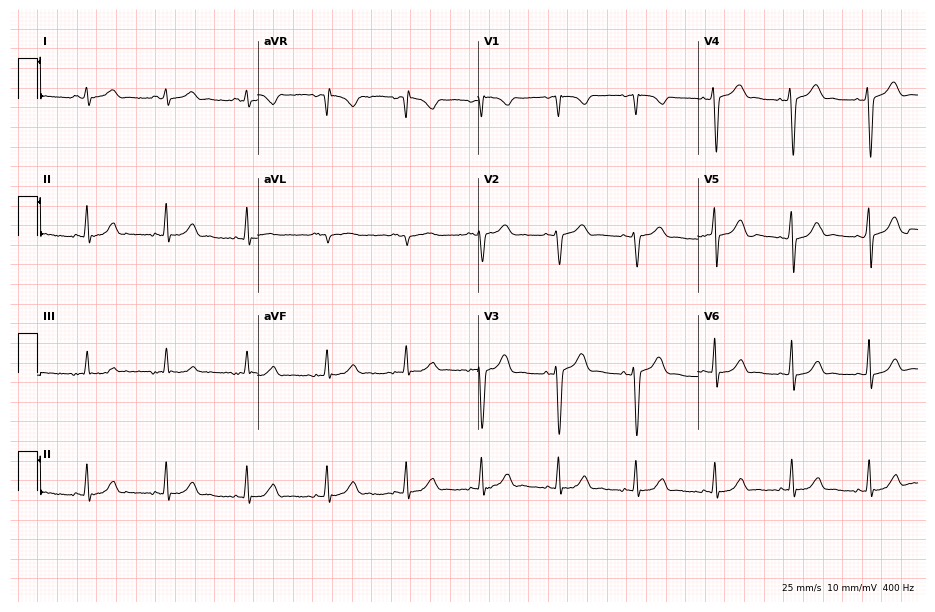
Electrocardiogram, a female patient, 37 years old. Overall reading on record: normal ECG.